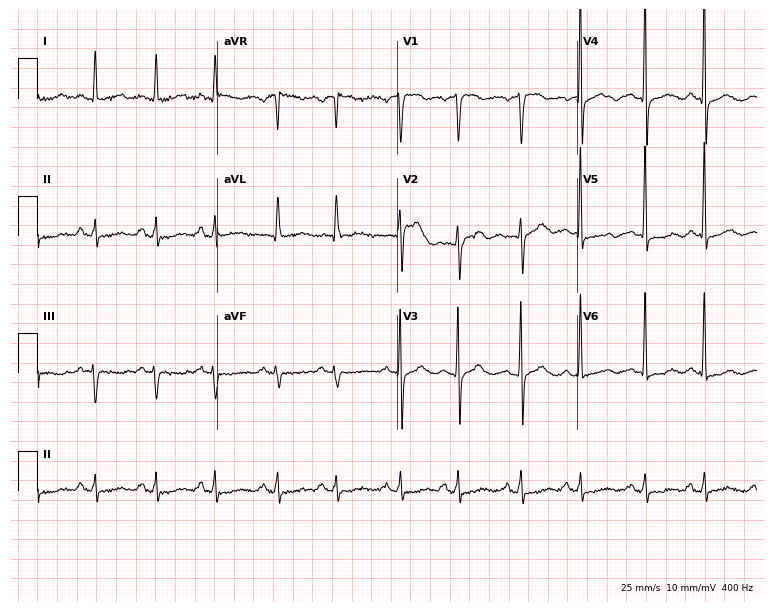
ECG — a female, 71 years old. Screened for six findings — first-degree AV block, right bundle branch block, left bundle branch block, sinus bradycardia, atrial fibrillation, sinus tachycardia — none is recorded.